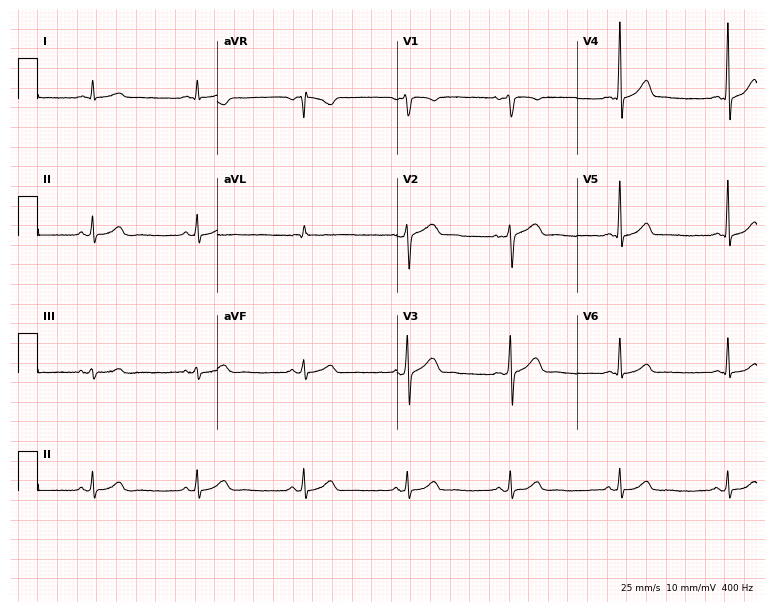
ECG (7.3-second recording at 400 Hz) — a male patient, 55 years old. Labelled as a normal ECG.